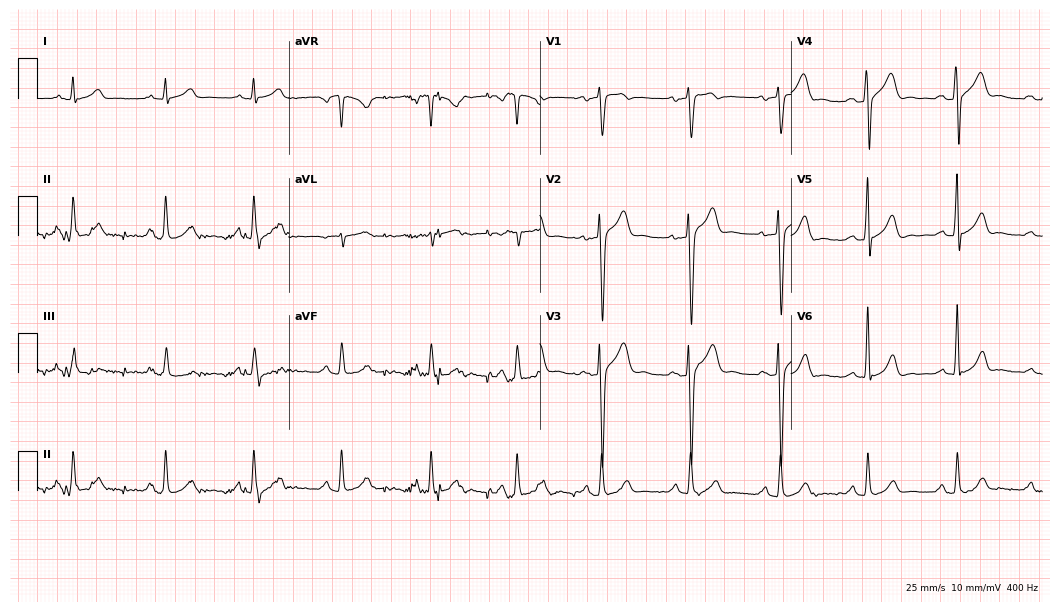
Standard 12-lead ECG recorded from a 69-year-old woman. Read as a normal ECG.